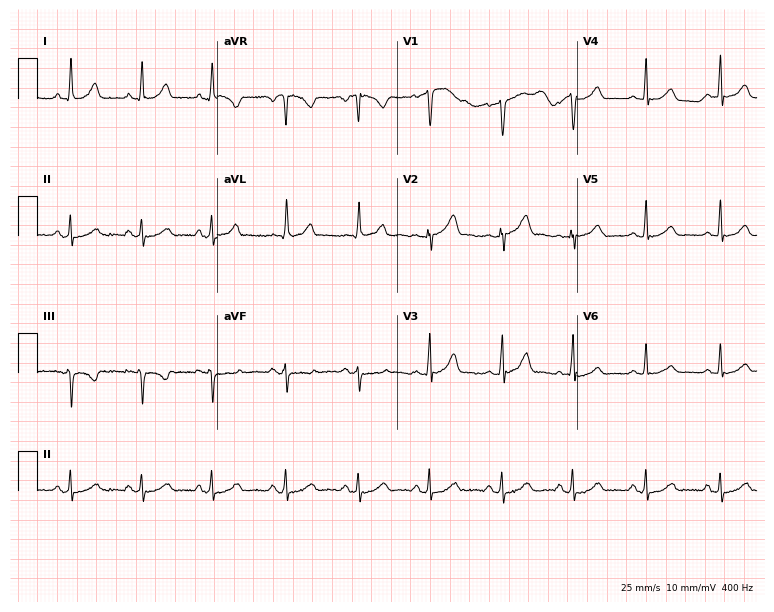
12-lead ECG from a female patient, 39 years old. No first-degree AV block, right bundle branch block, left bundle branch block, sinus bradycardia, atrial fibrillation or sinus tachycardia recorded for this tracing.